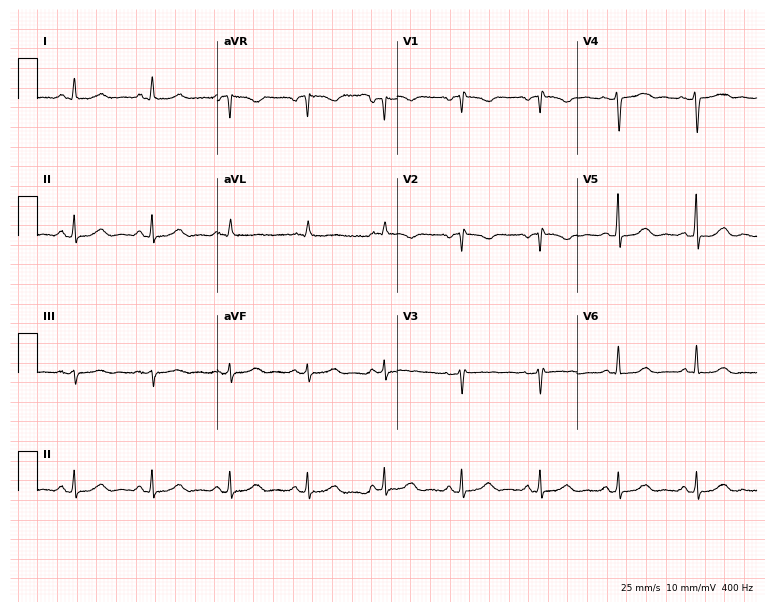
Standard 12-lead ECG recorded from a female patient, 46 years old. None of these six findings is recorded: first-degree AV block, right bundle branch block, left bundle branch block, sinus bradycardia, atrial fibrillation, sinus tachycardia.